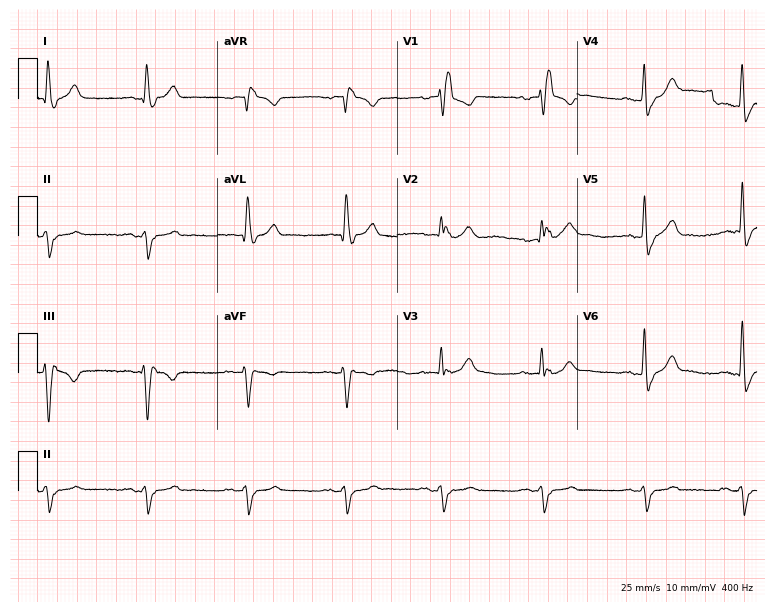
12-lead ECG from a man, 74 years old (7.3-second recording at 400 Hz). Shows right bundle branch block (RBBB).